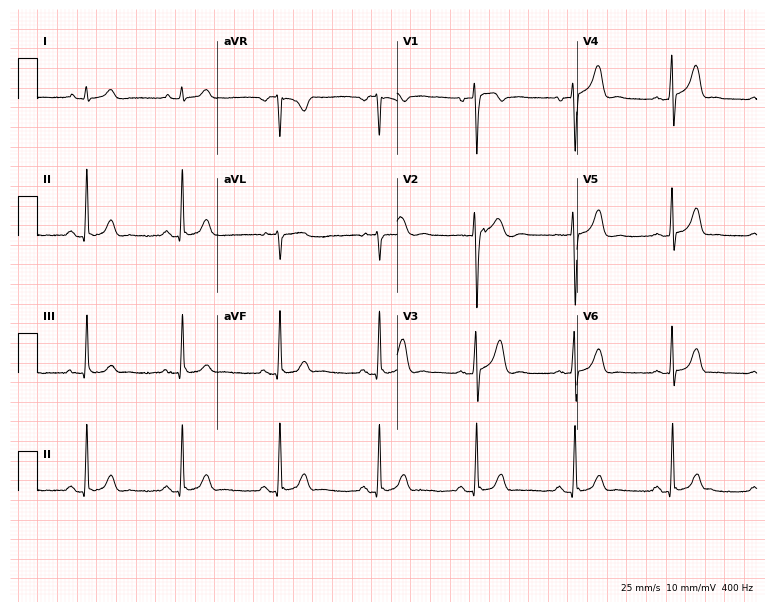
Resting 12-lead electrocardiogram (7.3-second recording at 400 Hz). Patient: a male, 32 years old. None of these six findings is recorded: first-degree AV block, right bundle branch block, left bundle branch block, sinus bradycardia, atrial fibrillation, sinus tachycardia.